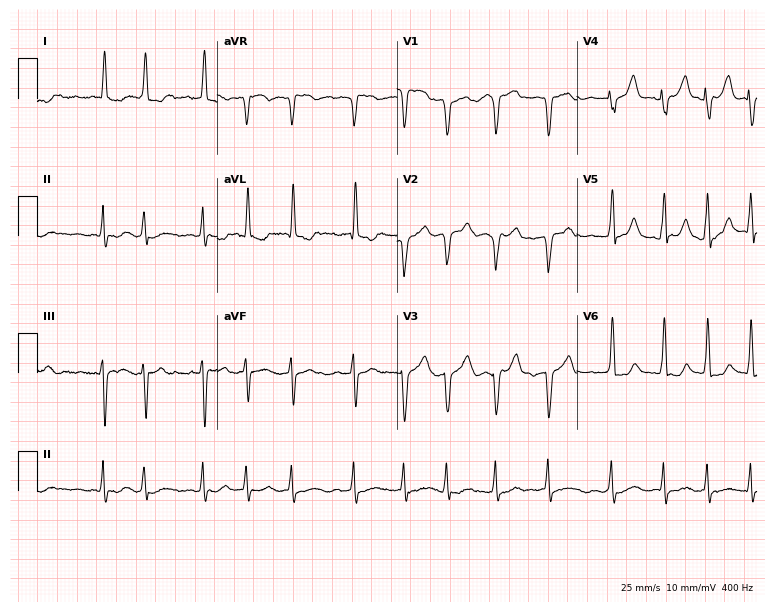
Standard 12-lead ECG recorded from a female, 85 years old (7.3-second recording at 400 Hz). None of these six findings is recorded: first-degree AV block, right bundle branch block, left bundle branch block, sinus bradycardia, atrial fibrillation, sinus tachycardia. Only these six findings were labelled.